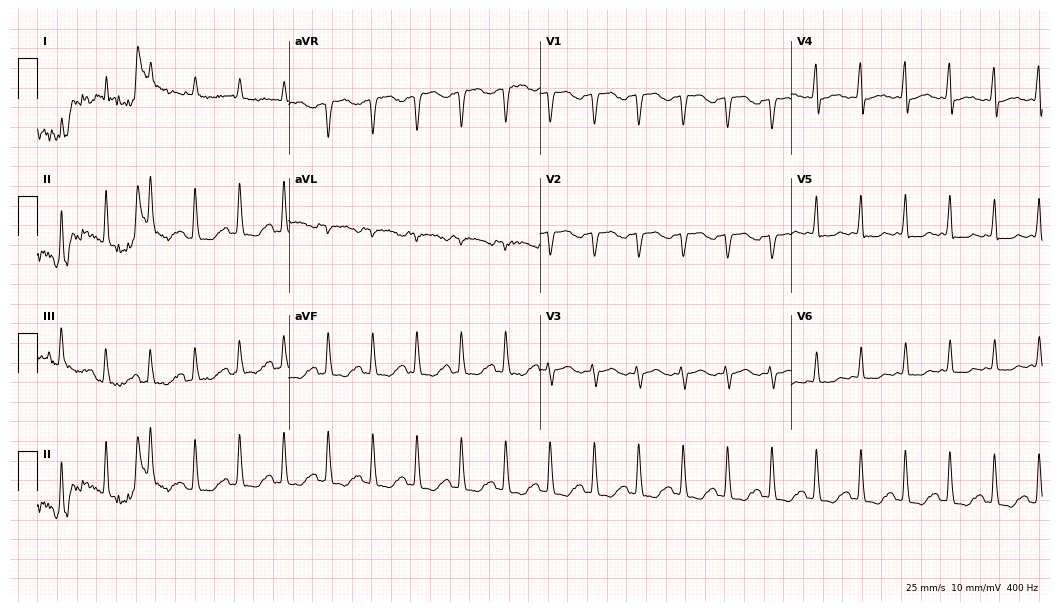
Electrocardiogram, a male, 75 years old. Interpretation includes sinus tachycardia (a sinus rate of 100 beats per minute or more).